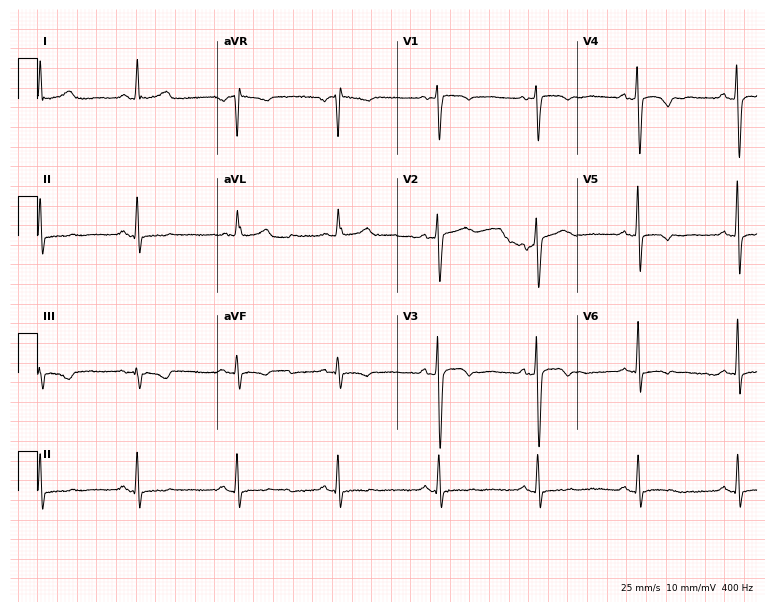
ECG (7.3-second recording at 400 Hz) — a 57-year-old female patient. Screened for six findings — first-degree AV block, right bundle branch block (RBBB), left bundle branch block (LBBB), sinus bradycardia, atrial fibrillation (AF), sinus tachycardia — none is recorded.